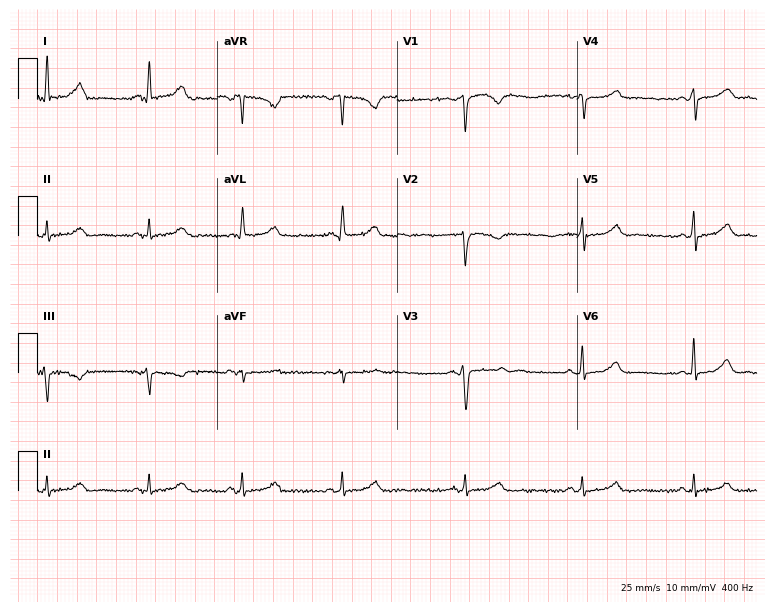
12-lead ECG from a 42-year-old woman. No first-degree AV block, right bundle branch block (RBBB), left bundle branch block (LBBB), sinus bradycardia, atrial fibrillation (AF) or sinus tachycardia recorded for this tracing.